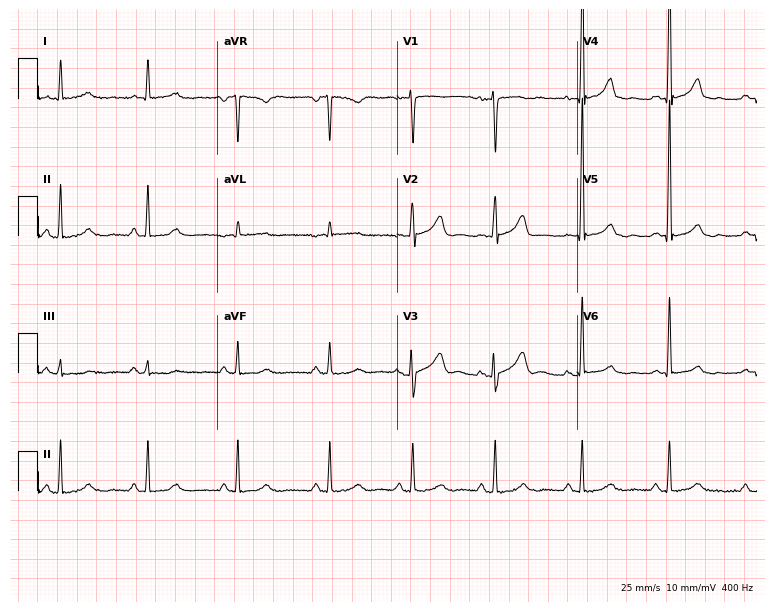
Electrocardiogram (7.3-second recording at 400 Hz), a 55-year-old woman. Overall reading on record: normal ECG.